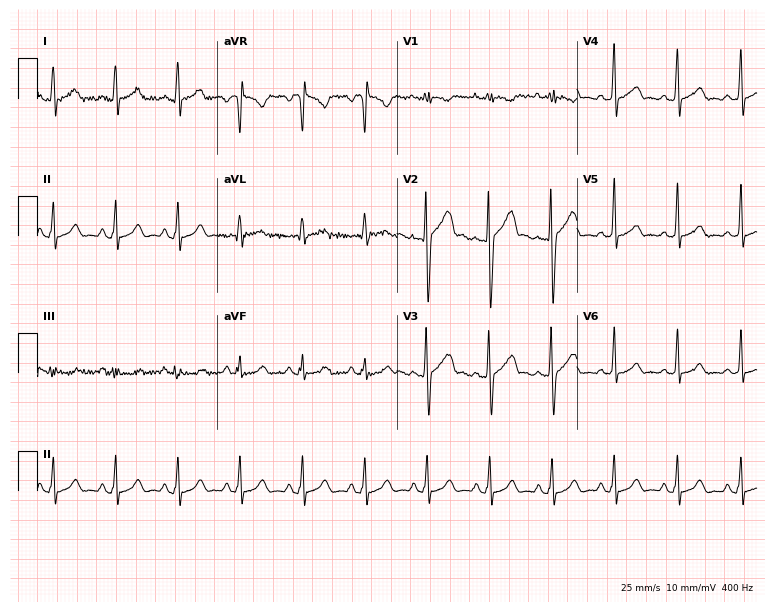
ECG (7.3-second recording at 400 Hz) — a male, 27 years old. Screened for six findings — first-degree AV block, right bundle branch block, left bundle branch block, sinus bradycardia, atrial fibrillation, sinus tachycardia — none is recorded.